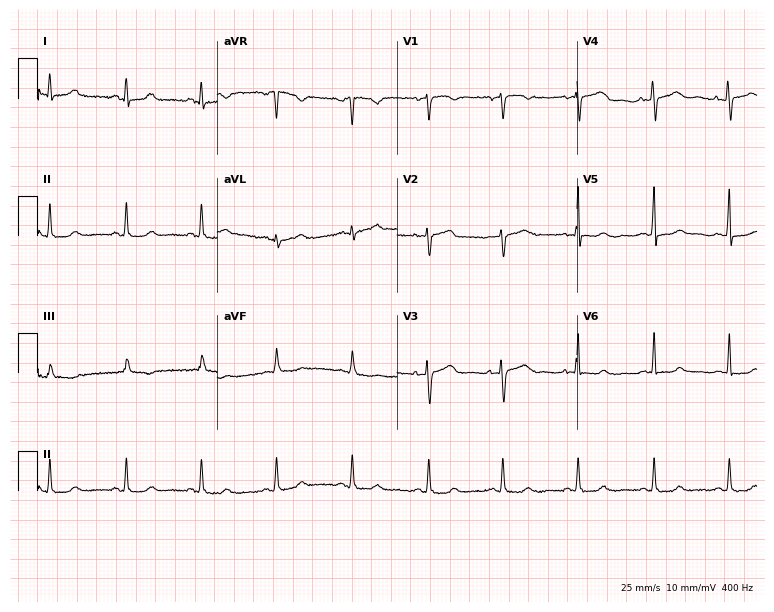
ECG (7.3-second recording at 400 Hz) — a 54-year-old female. Screened for six findings — first-degree AV block, right bundle branch block (RBBB), left bundle branch block (LBBB), sinus bradycardia, atrial fibrillation (AF), sinus tachycardia — none is recorded.